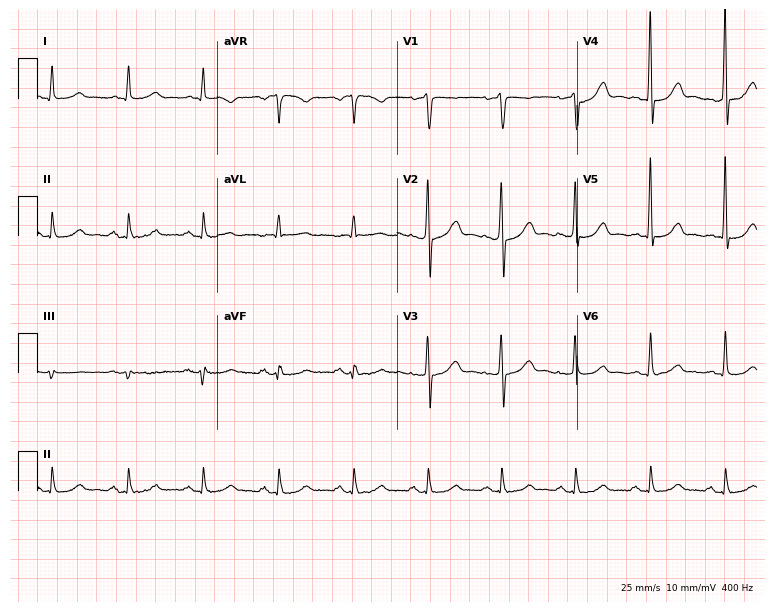
12-lead ECG from a male, 73 years old (7.3-second recording at 400 Hz). Recorded interpretation: within normal limits.